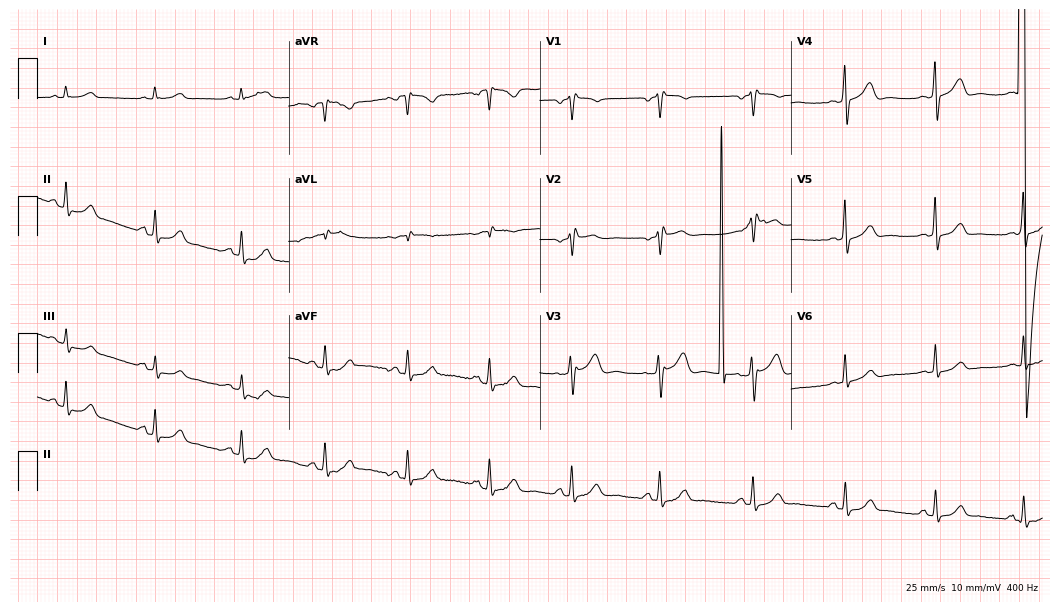
Standard 12-lead ECG recorded from a 65-year-old man. None of these six findings is recorded: first-degree AV block, right bundle branch block, left bundle branch block, sinus bradycardia, atrial fibrillation, sinus tachycardia. Findings outside these six are not listed.